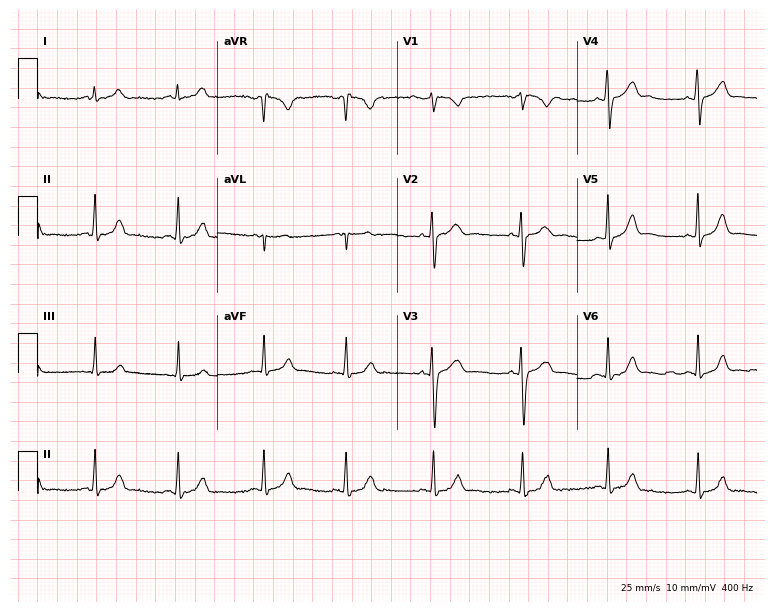
Resting 12-lead electrocardiogram. Patient: a female, 28 years old. Read as a normal ECG.